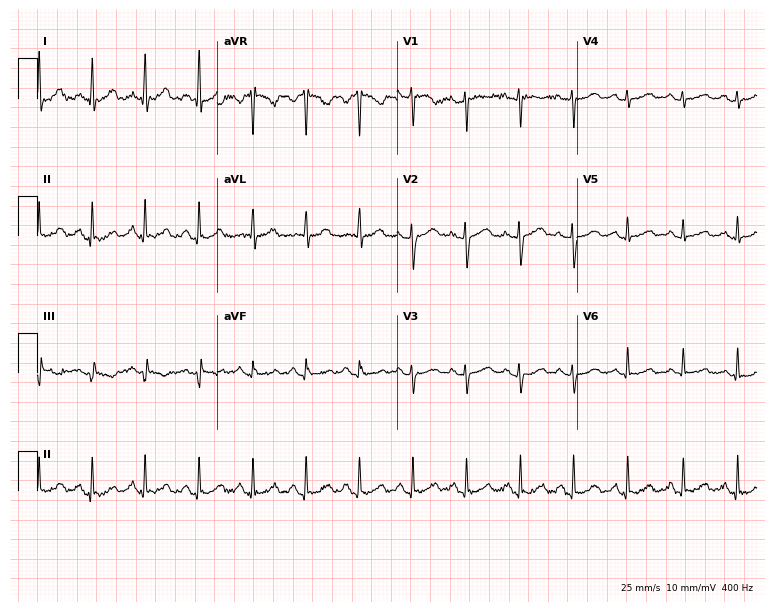
12-lead ECG (7.3-second recording at 400 Hz) from a 38-year-old woman. Findings include sinus tachycardia (a sinus rate of 100 beats per minute or more).